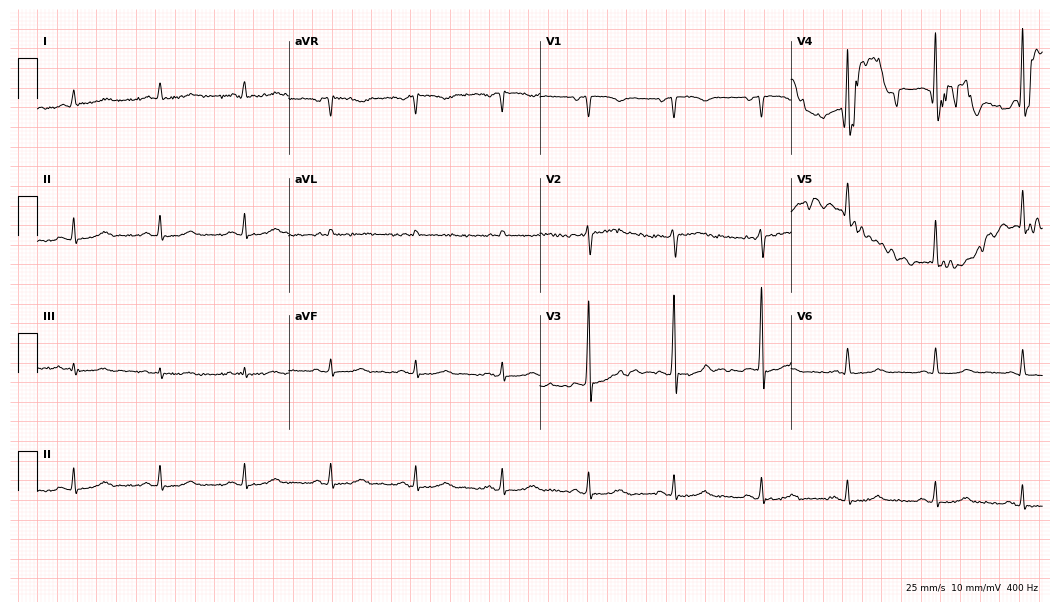
Standard 12-lead ECG recorded from a male, 63 years old (10.2-second recording at 400 Hz). Read as a normal ECG.